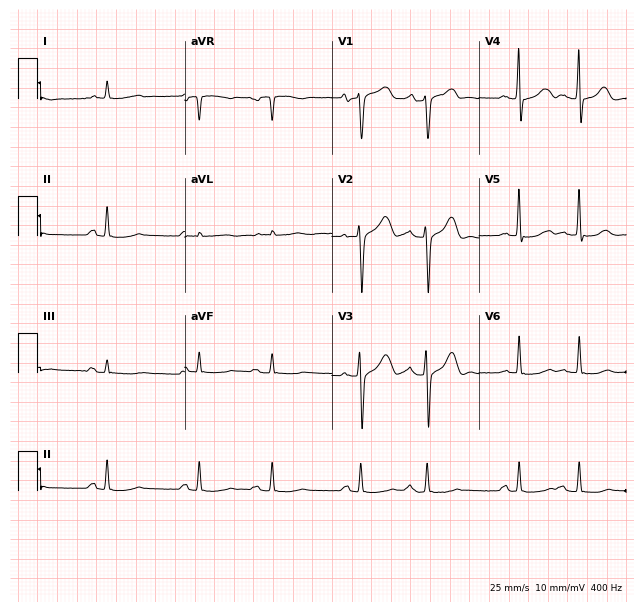
12-lead ECG (6-second recording at 400 Hz) from a man, 76 years old. Screened for six findings — first-degree AV block, right bundle branch block, left bundle branch block, sinus bradycardia, atrial fibrillation, sinus tachycardia — none is recorded.